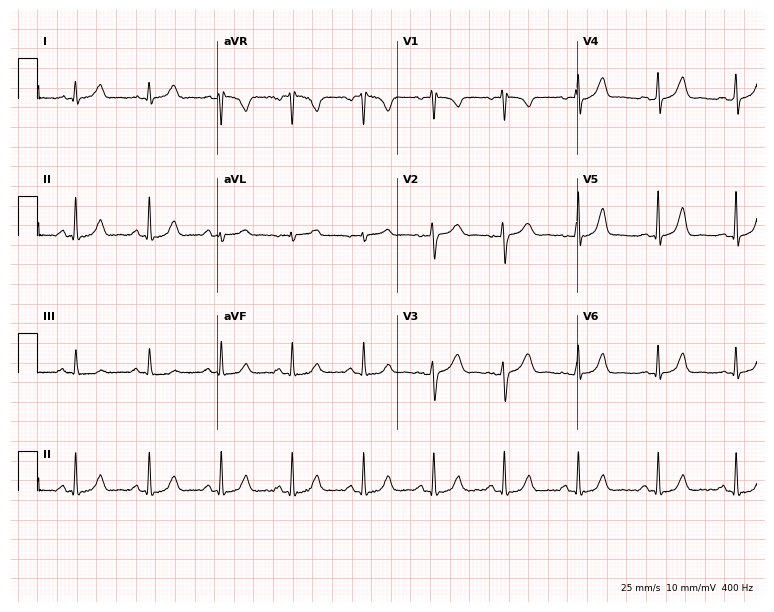
Resting 12-lead electrocardiogram (7.3-second recording at 400 Hz). Patient: a 42-year-old female. Read as a normal ECG.